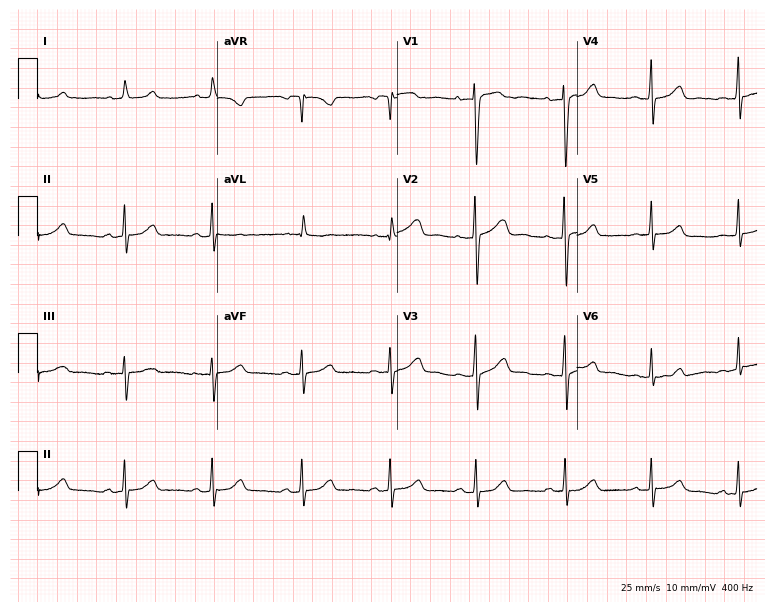
12-lead ECG from a female patient, 37 years old (7.3-second recording at 400 Hz). No first-degree AV block, right bundle branch block (RBBB), left bundle branch block (LBBB), sinus bradycardia, atrial fibrillation (AF) or sinus tachycardia recorded for this tracing. Other findings, if any, are not listed.